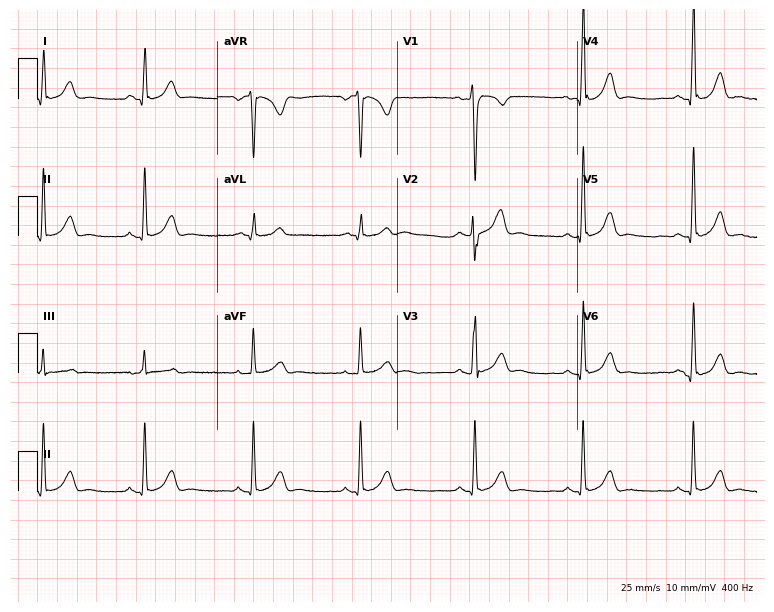
12-lead ECG (7.3-second recording at 400 Hz) from a 32-year-old male. Screened for six findings — first-degree AV block, right bundle branch block, left bundle branch block, sinus bradycardia, atrial fibrillation, sinus tachycardia — none is recorded.